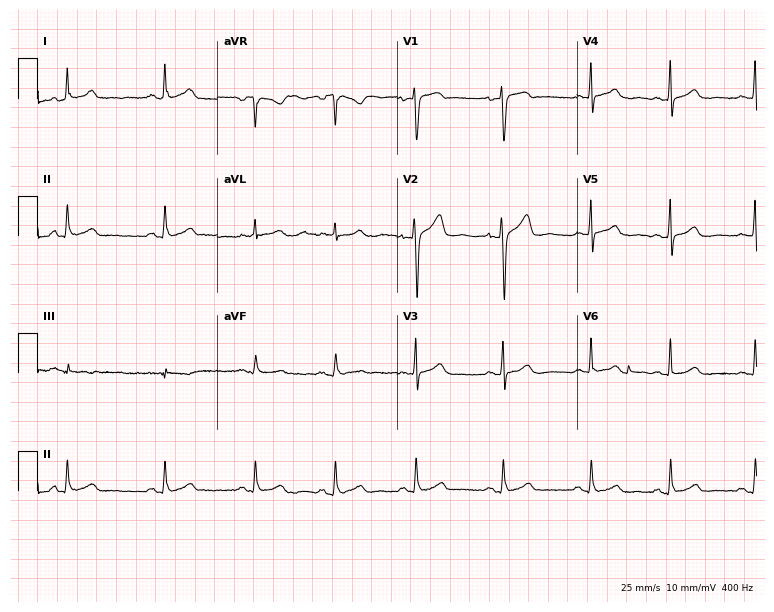
12-lead ECG (7.3-second recording at 400 Hz) from a woman, 29 years old. Screened for six findings — first-degree AV block, right bundle branch block, left bundle branch block, sinus bradycardia, atrial fibrillation, sinus tachycardia — none is recorded.